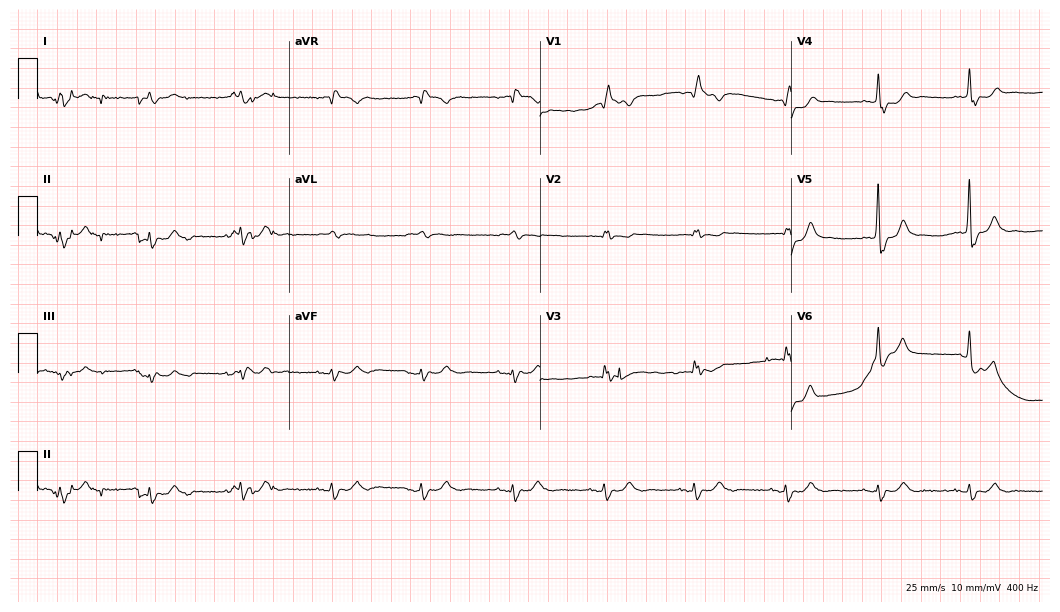
Electrocardiogram (10.2-second recording at 400 Hz), an 83-year-old man. Of the six screened findings (first-degree AV block, right bundle branch block, left bundle branch block, sinus bradycardia, atrial fibrillation, sinus tachycardia), none is recorded. Other findings, if any, are not listed.